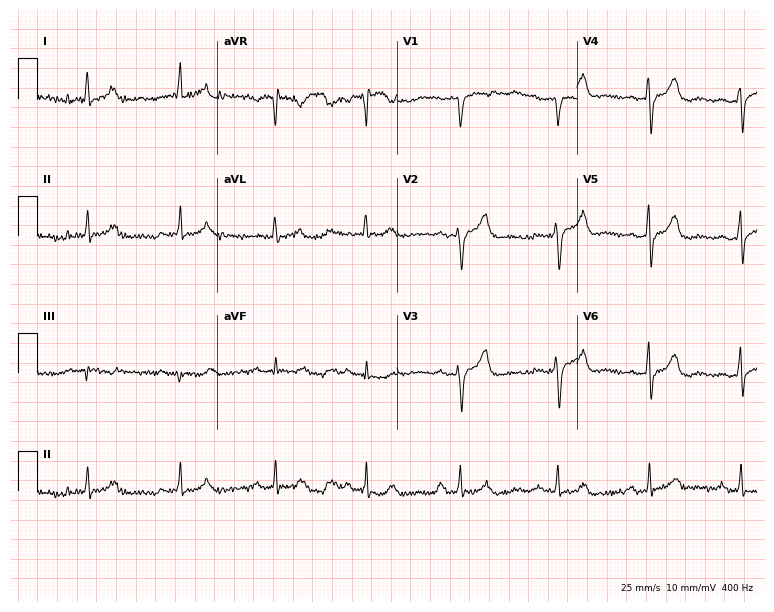
Standard 12-lead ECG recorded from a female patient, 49 years old (7.3-second recording at 400 Hz). Read as a normal ECG.